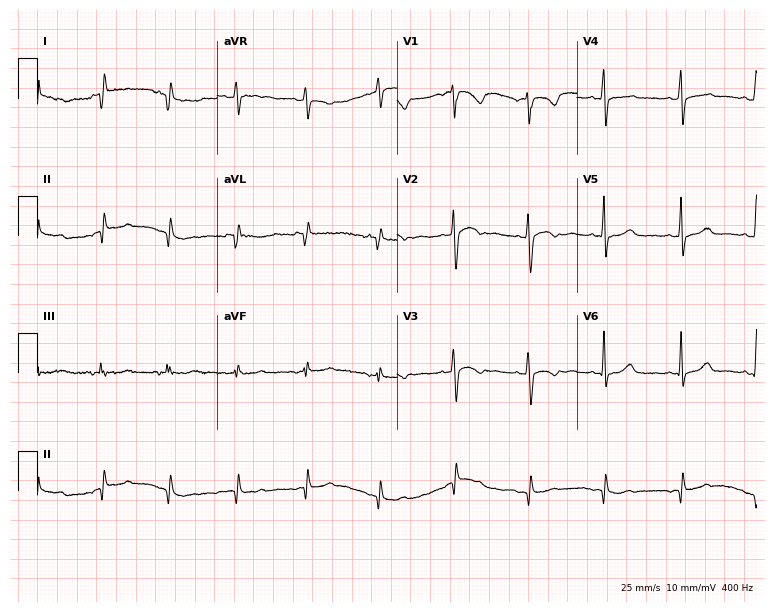
Standard 12-lead ECG recorded from a 36-year-old female patient. None of these six findings is recorded: first-degree AV block, right bundle branch block, left bundle branch block, sinus bradycardia, atrial fibrillation, sinus tachycardia. Other findings, if any, are not listed.